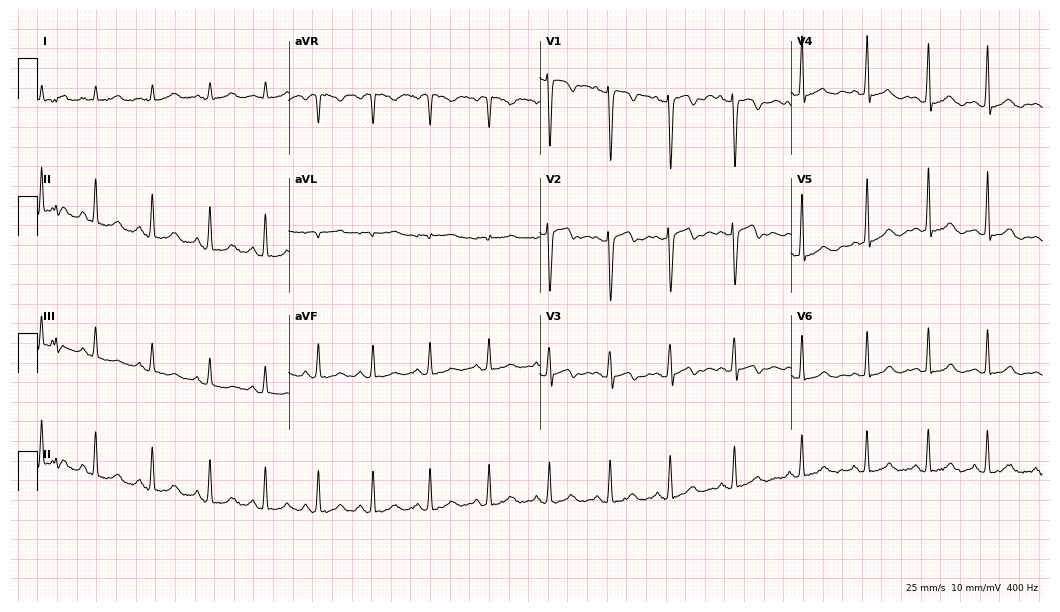
ECG — a 39-year-old woman. Screened for six findings — first-degree AV block, right bundle branch block, left bundle branch block, sinus bradycardia, atrial fibrillation, sinus tachycardia — none is recorded. Findings outside these six are not listed.